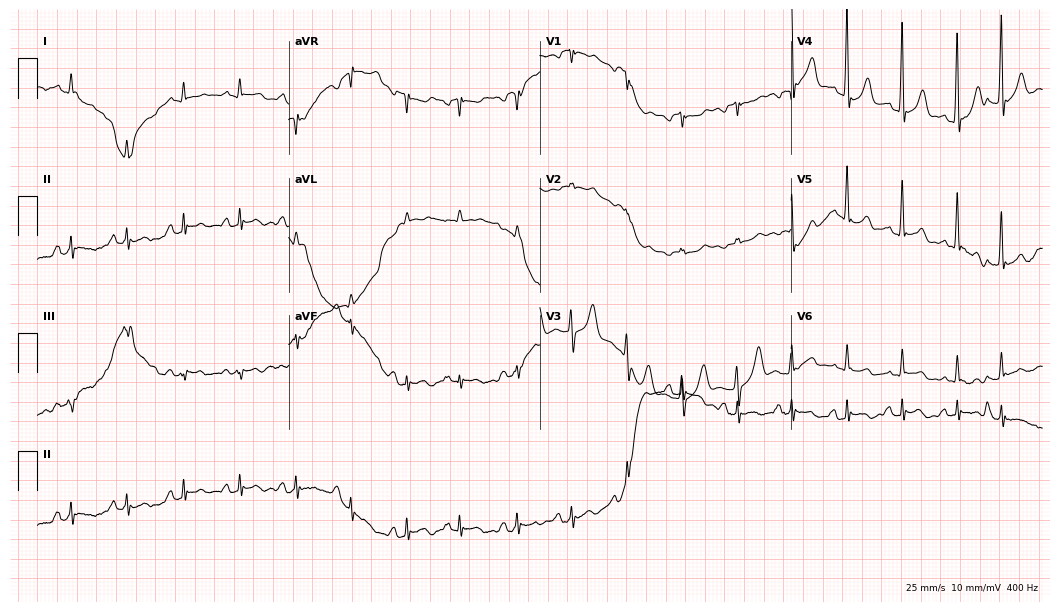
12-lead ECG (10.2-second recording at 400 Hz) from a male, 68 years old. Findings include sinus tachycardia (a sinus rate of 100 beats per minute or more).